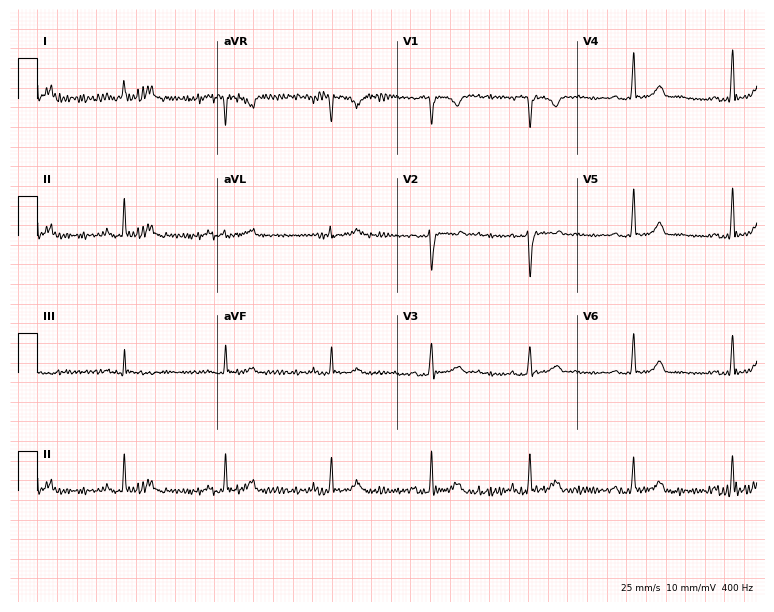
12-lead ECG from a female, 33 years old. Screened for six findings — first-degree AV block, right bundle branch block, left bundle branch block, sinus bradycardia, atrial fibrillation, sinus tachycardia — none is recorded.